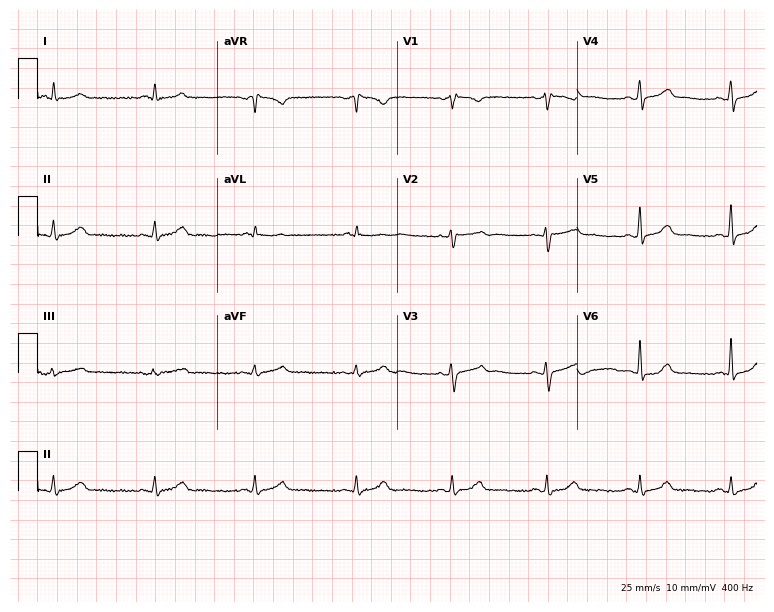
Resting 12-lead electrocardiogram. Patient: a female, 50 years old. None of these six findings is recorded: first-degree AV block, right bundle branch block, left bundle branch block, sinus bradycardia, atrial fibrillation, sinus tachycardia.